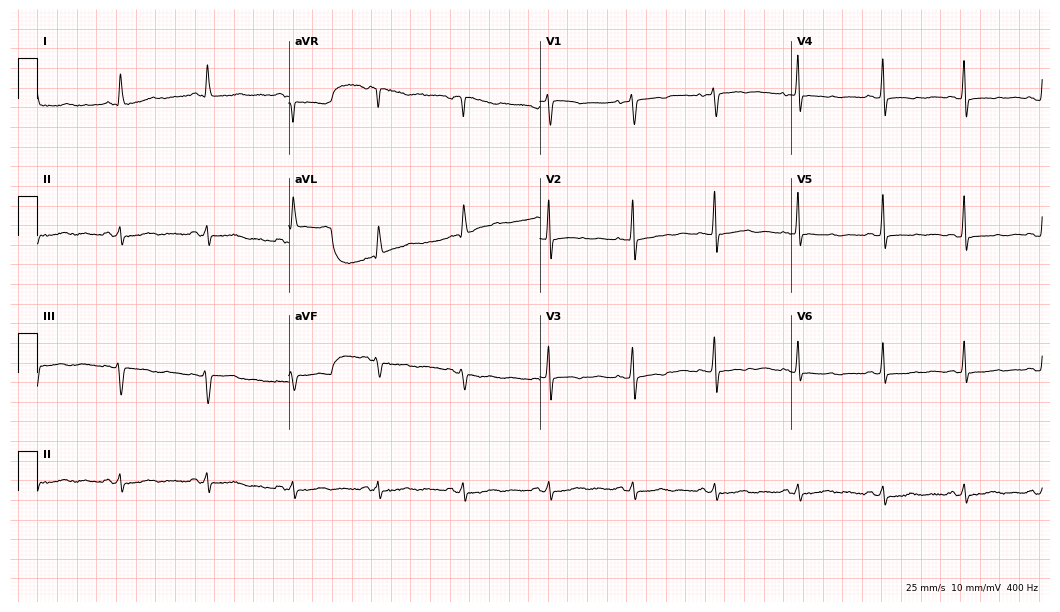
ECG (10.2-second recording at 400 Hz) — a female patient, 71 years old. Screened for six findings — first-degree AV block, right bundle branch block, left bundle branch block, sinus bradycardia, atrial fibrillation, sinus tachycardia — none is recorded.